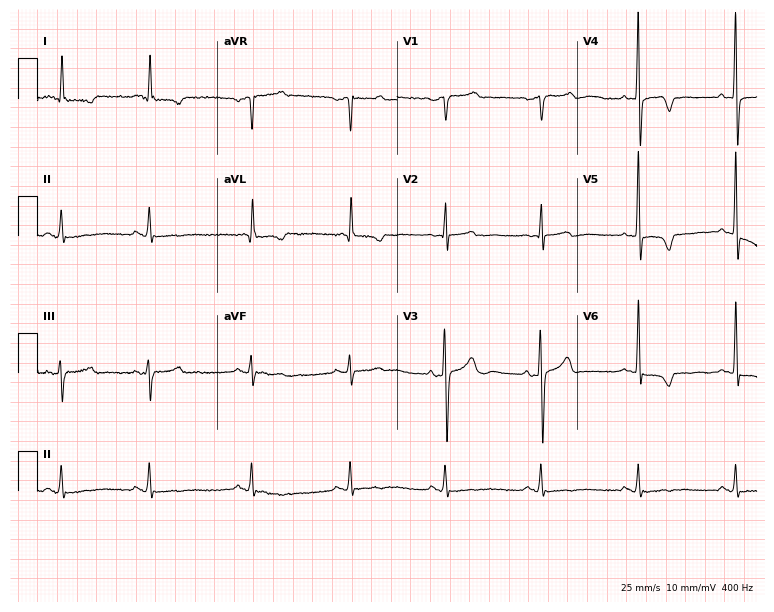
Electrocardiogram (7.3-second recording at 400 Hz), an 80-year-old female patient. Of the six screened findings (first-degree AV block, right bundle branch block (RBBB), left bundle branch block (LBBB), sinus bradycardia, atrial fibrillation (AF), sinus tachycardia), none is recorded. Other findings, if any, are not listed.